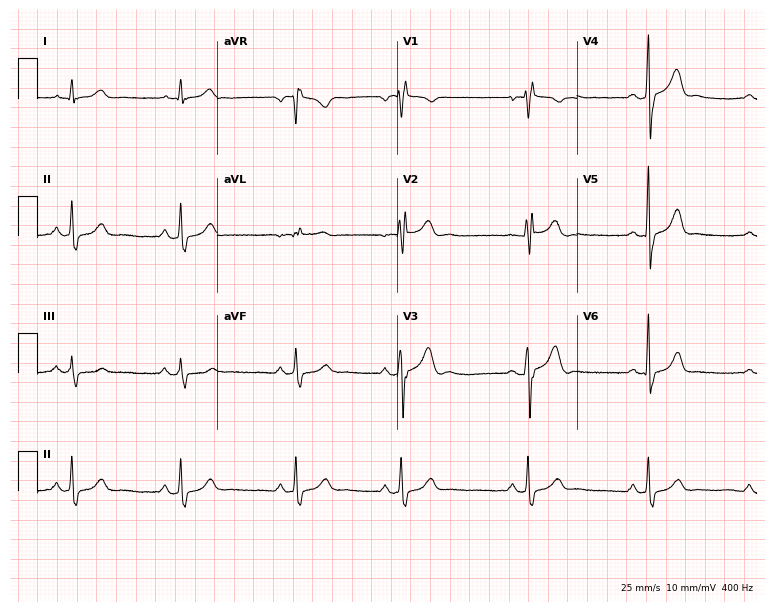
12-lead ECG from a male, 18 years old. Findings include right bundle branch block (RBBB).